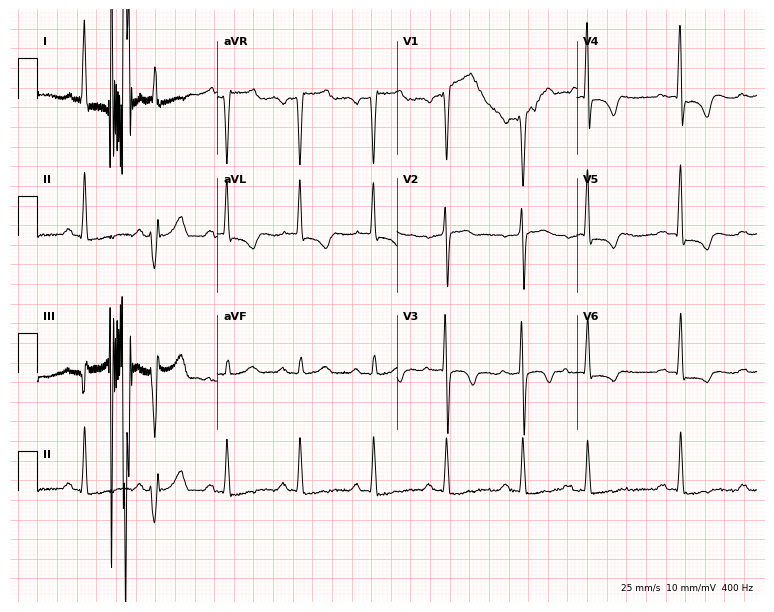
12-lead ECG from a male, 57 years old. Screened for six findings — first-degree AV block, right bundle branch block, left bundle branch block, sinus bradycardia, atrial fibrillation, sinus tachycardia — none is recorded. Only these six findings were labelled.